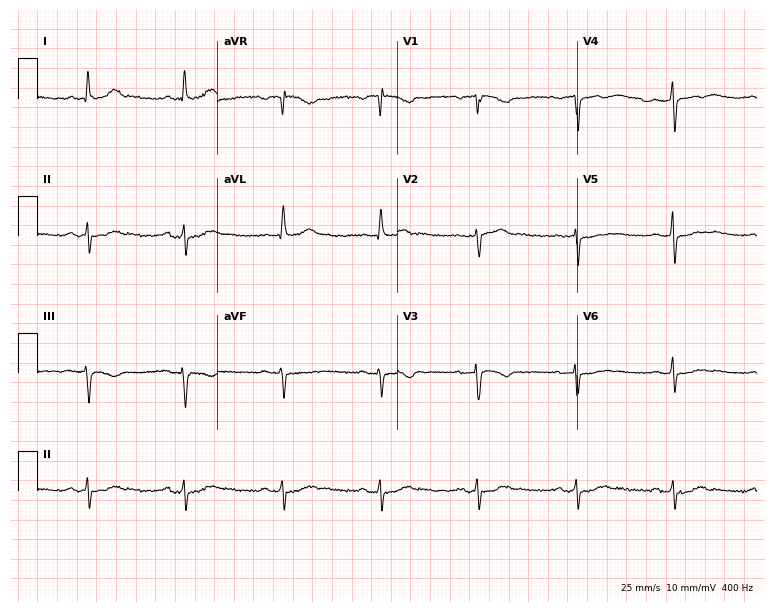
12-lead ECG from a female, 54 years old. No first-degree AV block, right bundle branch block, left bundle branch block, sinus bradycardia, atrial fibrillation or sinus tachycardia recorded for this tracing. Other findings, if any, are not listed.